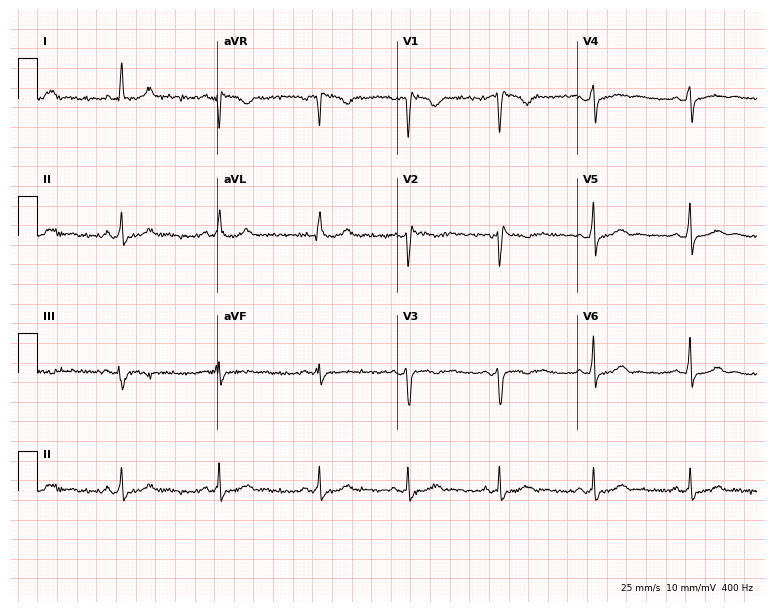
Standard 12-lead ECG recorded from a 47-year-old female patient (7.3-second recording at 400 Hz). None of these six findings is recorded: first-degree AV block, right bundle branch block, left bundle branch block, sinus bradycardia, atrial fibrillation, sinus tachycardia.